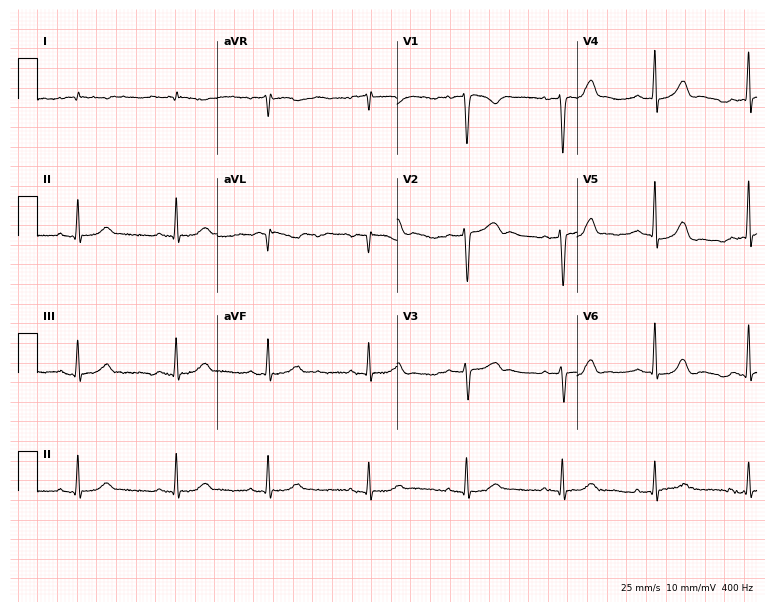
12-lead ECG from a 33-year-old female patient (7.3-second recording at 400 Hz). No first-degree AV block, right bundle branch block, left bundle branch block, sinus bradycardia, atrial fibrillation or sinus tachycardia recorded for this tracing. Findings outside these six are not listed.